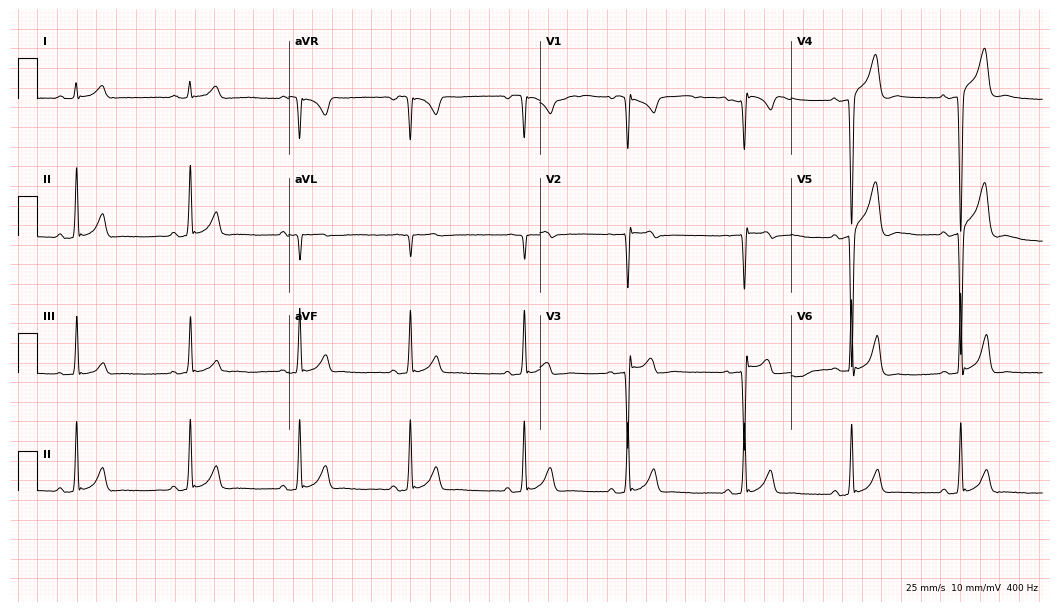
Standard 12-lead ECG recorded from a 20-year-old male patient. None of these six findings is recorded: first-degree AV block, right bundle branch block, left bundle branch block, sinus bradycardia, atrial fibrillation, sinus tachycardia.